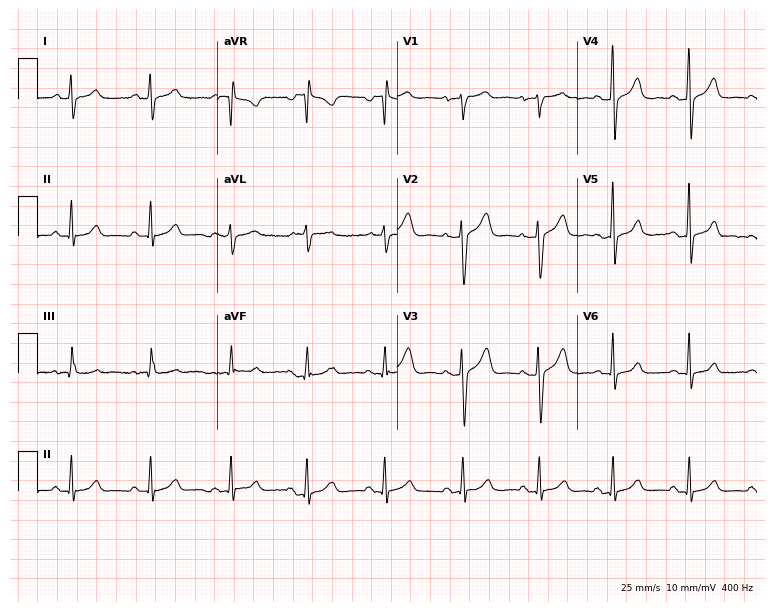
ECG — a female, 40 years old. Labelled as a normal ECG.